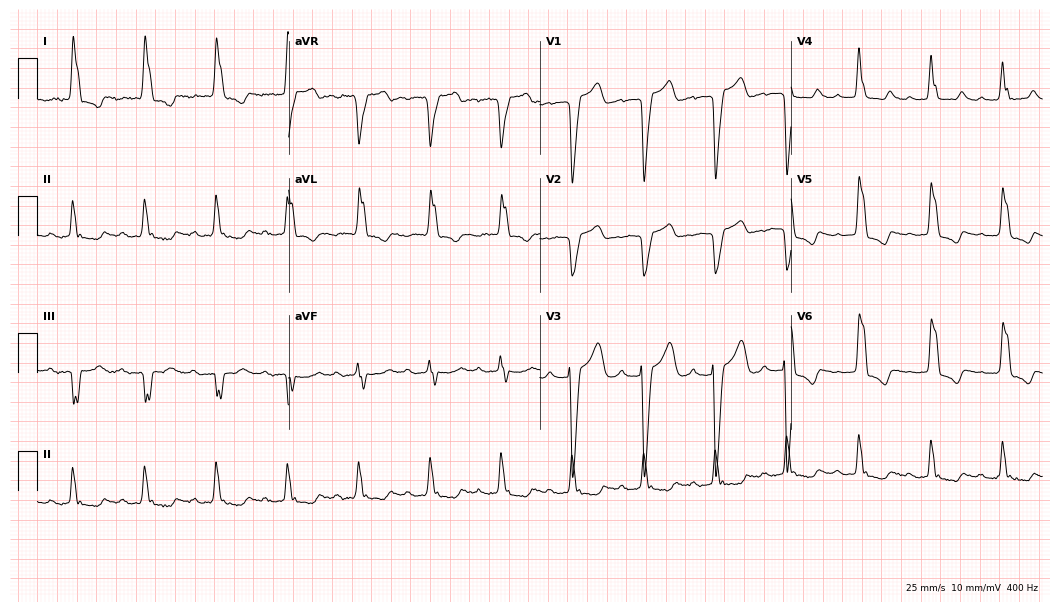
Standard 12-lead ECG recorded from a 74-year-old woman (10.2-second recording at 400 Hz). The tracing shows first-degree AV block, left bundle branch block.